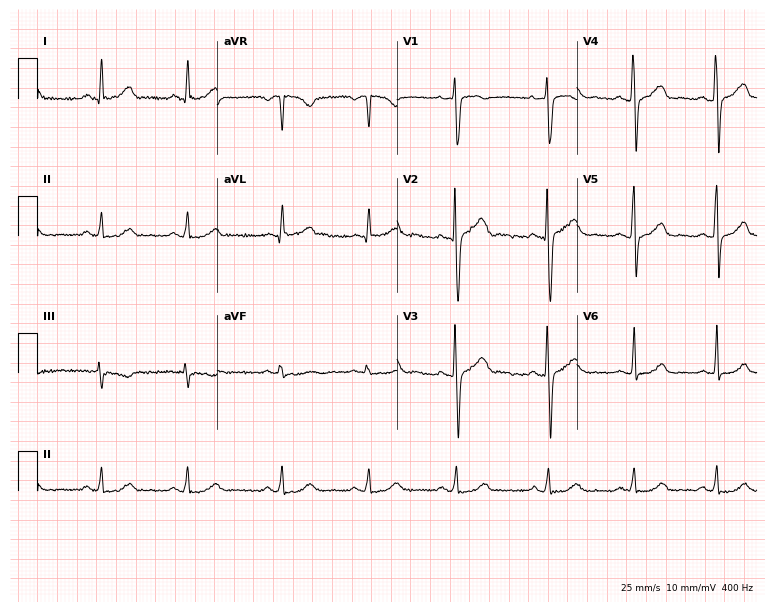
Resting 12-lead electrocardiogram. Patient: a 34-year-old male. Read as a normal ECG.